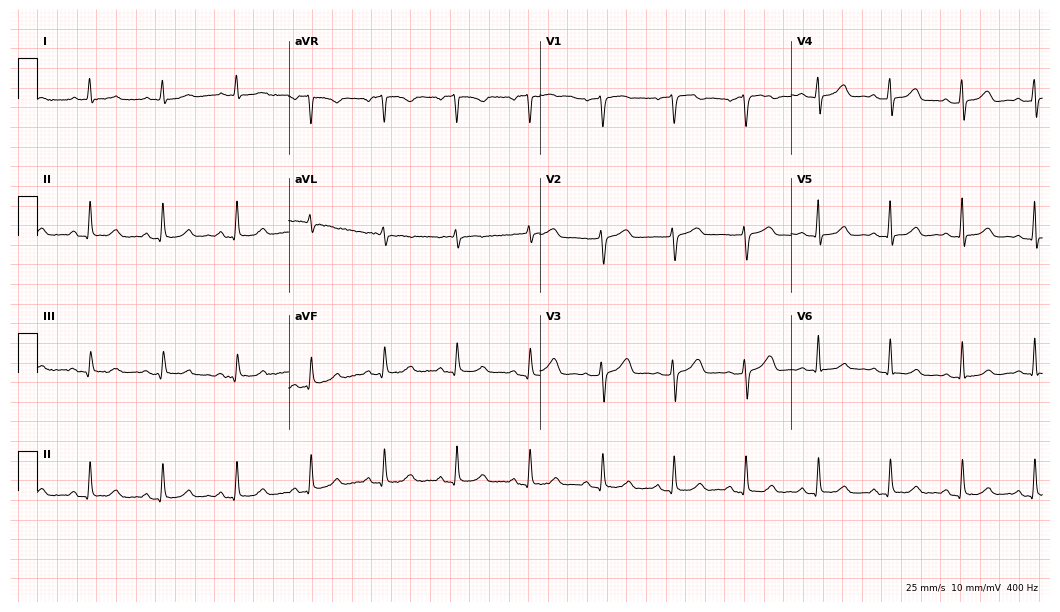
Electrocardiogram, a 60-year-old female patient. Overall reading on record: normal ECG.